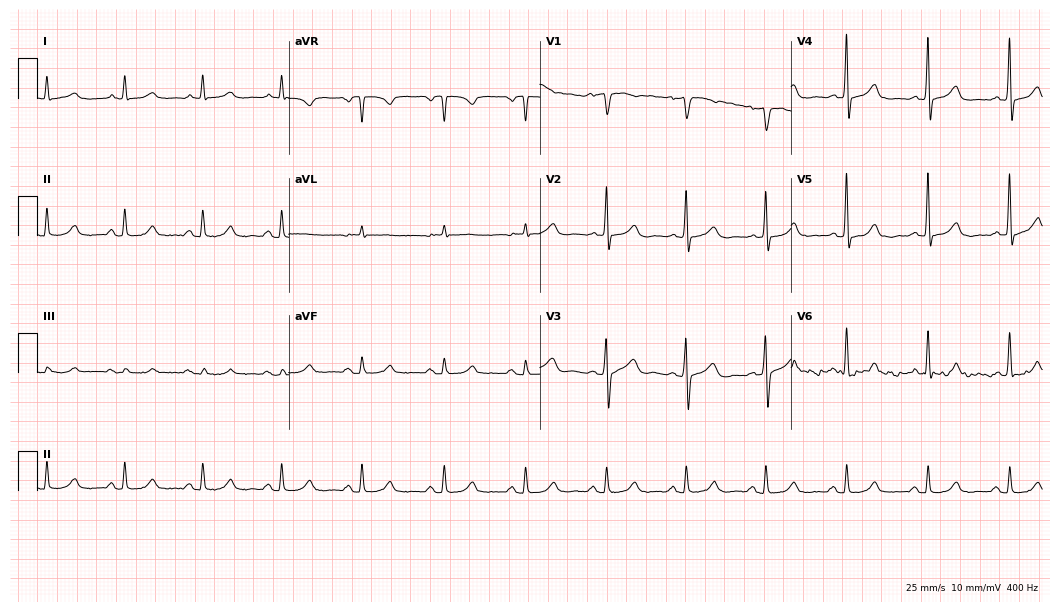
12-lead ECG from a 75-year-old male (10.2-second recording at 400 Hz). Recorded interpretation: within normal limits.